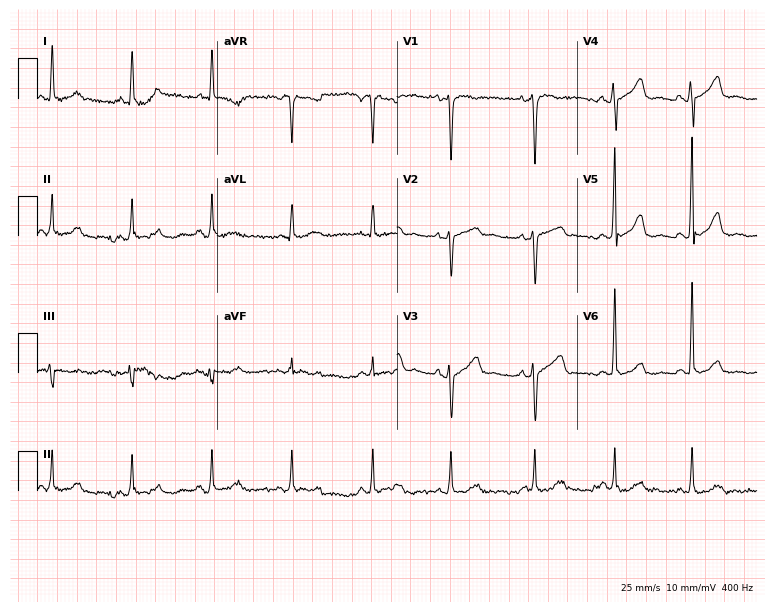
12-lead ECG from a 70-year-old female (7.3-second recording at 400 Hz). No first-degree AV block, right bundle branch block, left bundle branch block, sinus bradycardia, atrial fibrillation or sinus tachycardia recorded for this tracing.